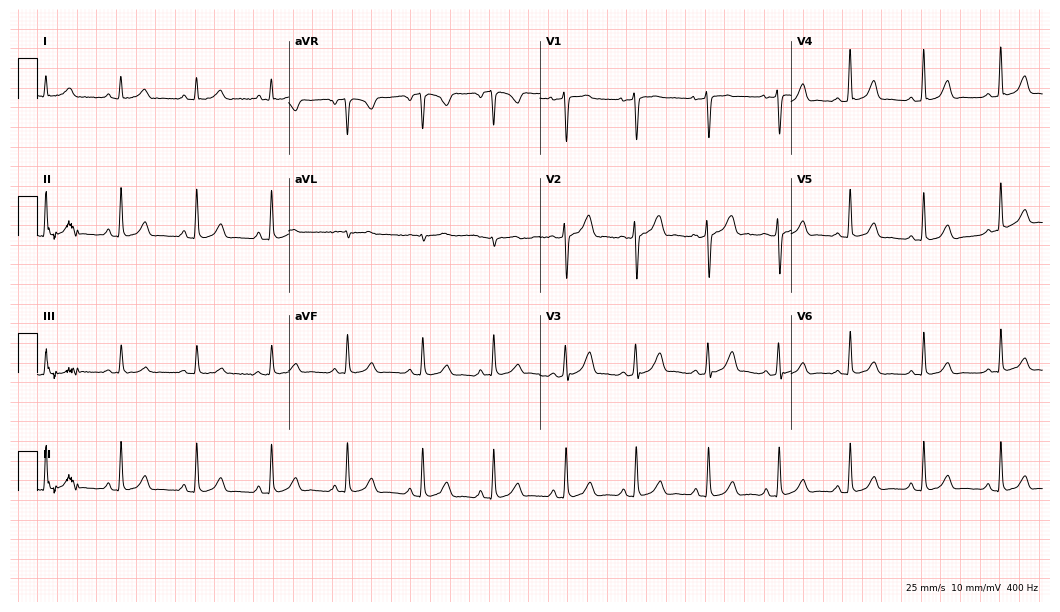
ECG — a 27-year-old female patient. Labelled as a normal ECG.